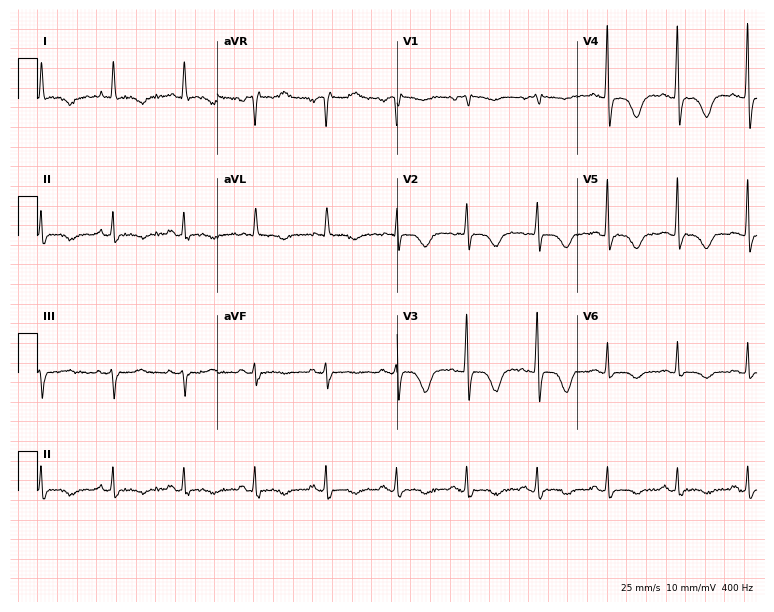
ECG — a 78-year-old woman. Screened for six findings — first-degree AV block, right bundle branch block, left bundle branch block, sinus bradycardia, atrial fibrillation, sinus tachycardia — none is recorded. Findings outside these six are not listed.